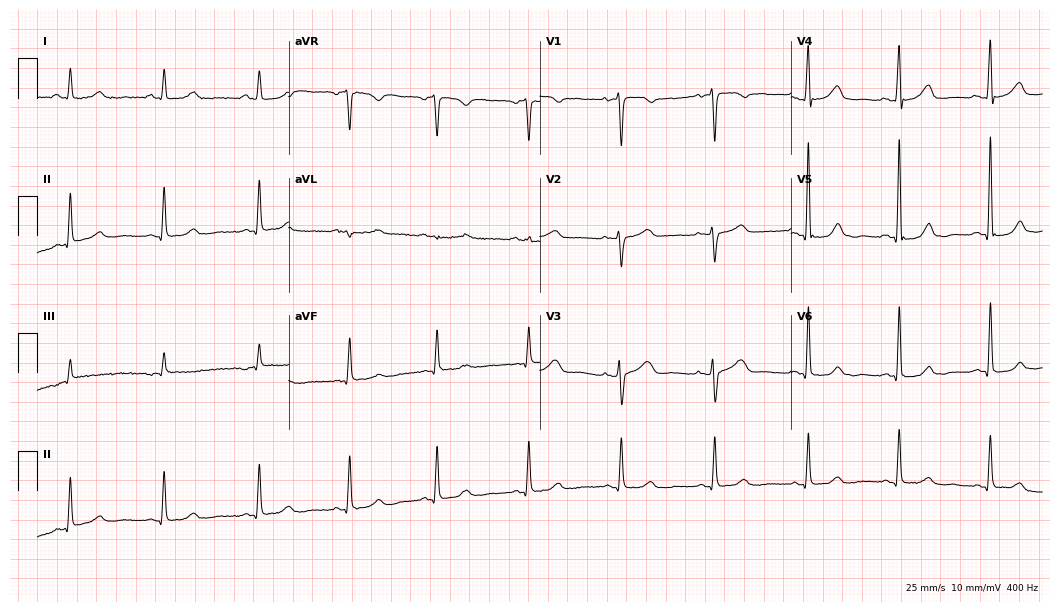
ECG (10.2-second recording at 400 Hz) — a female patient, 45 years old. Labelled as a normal ECG.